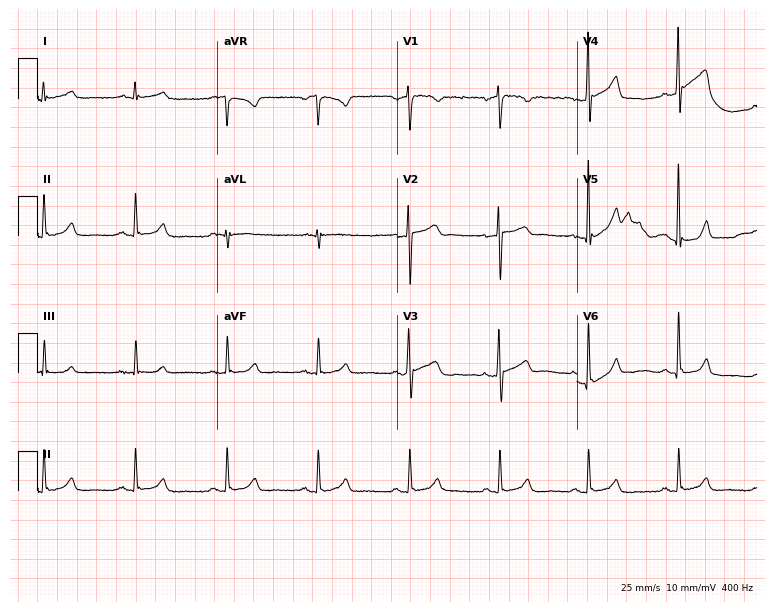
Resting 12-lead electrocardiogram (7.3-second recording at 400 Hz). Patient: a 40-year-old male. Read as a normal ECG.